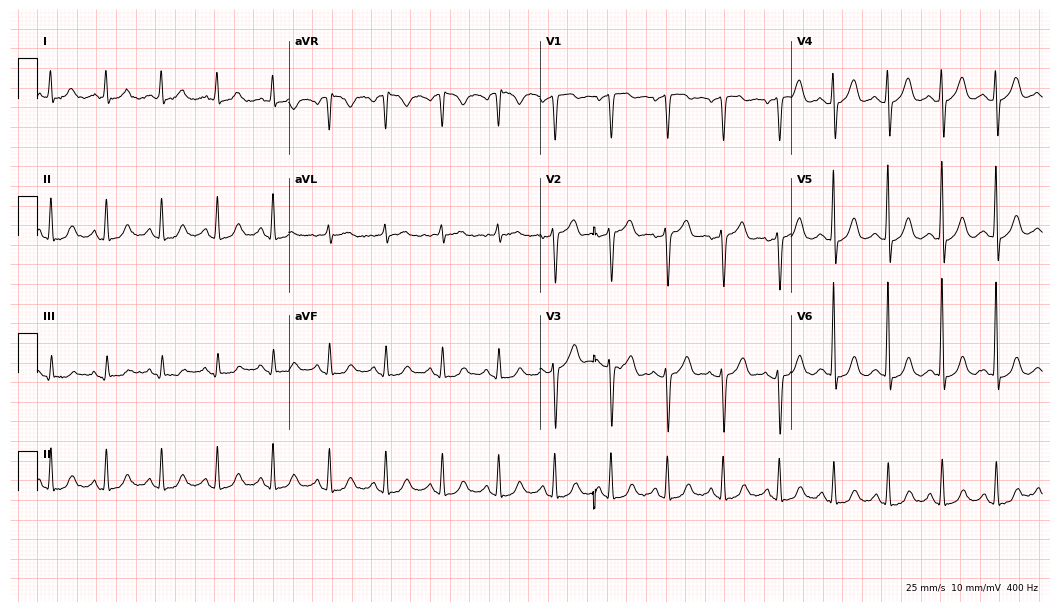
ECG (10.2-second recording at 400 Hz) — a man, 61 years old. Findings include sinus tachycardia (a sinus rate of 100 beats per minute or more).